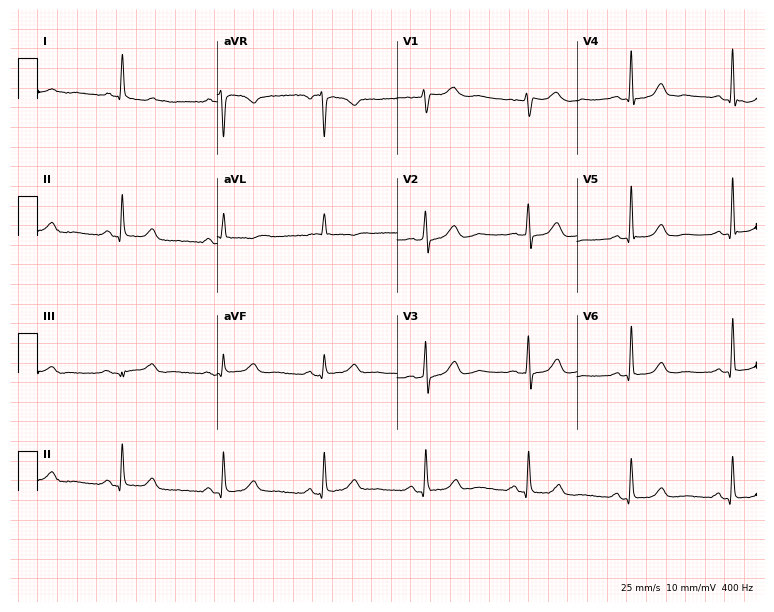
Resting 12-lead electrocardiogram. Patient: a female, 74 years old. None of these six findings is recorded: first-degree AV block, right bundle branch block, left bundle branch block, sinus bradycardia, atrial fibrillation, sinus tachycardia. Only these six findings were labelled.